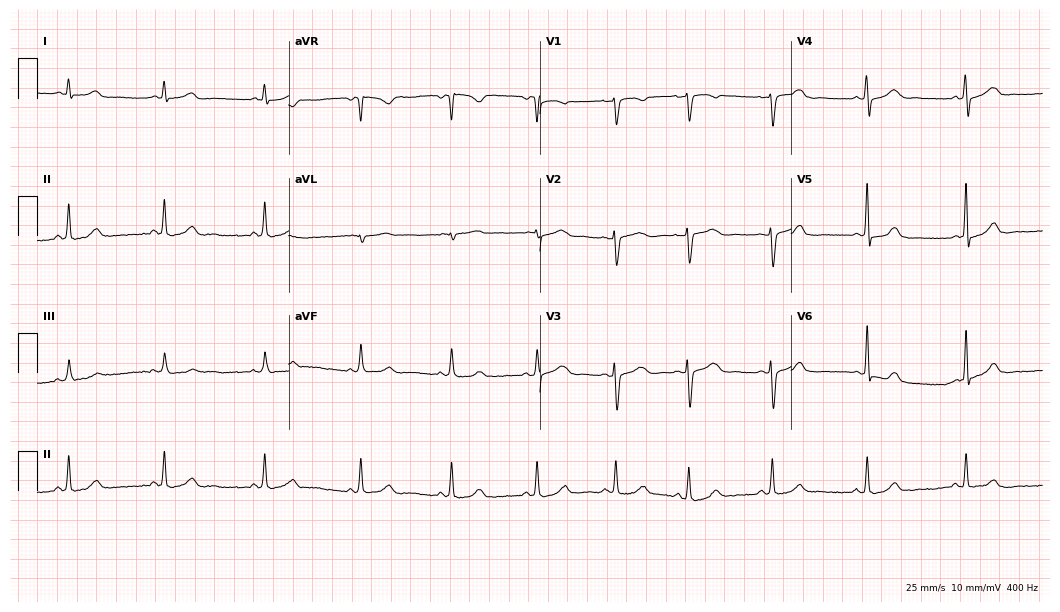
12-lead ECG from a 38-year-old female patient. Recorded interpretation: within normal limits.